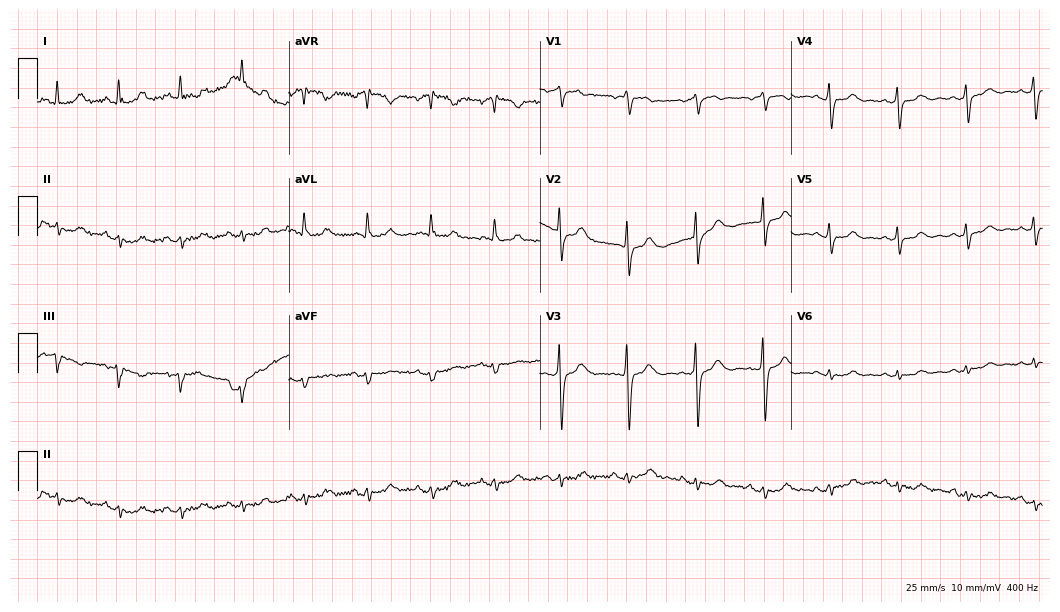
Standard 12-lead ECG recorded from a female patient, 55 years old (10.2-second recording at 400 Hz). None of these six findings is recorded: first-degree AV block, right bundle branch block, left bundle branch block, sinus bradycardia, atrial fibrillation, sinus tachycardia. Other findings, if any, are not listed.